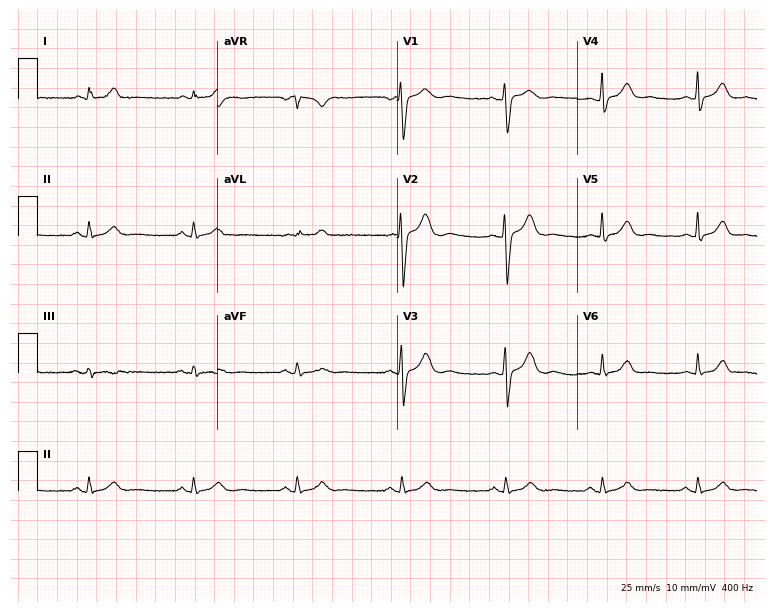
Standard 12-lead ECG recorded from a female patient, 41 years old. Read as a normal ECG.